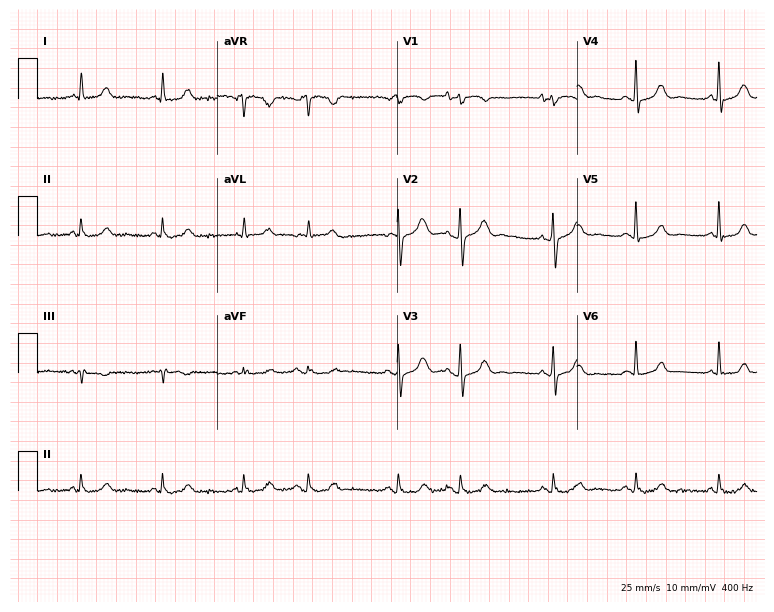
12-lead ECG from a female, 66 years old (7.3-second recording at 400 Hz). Recorded interpretation: within normal limits.